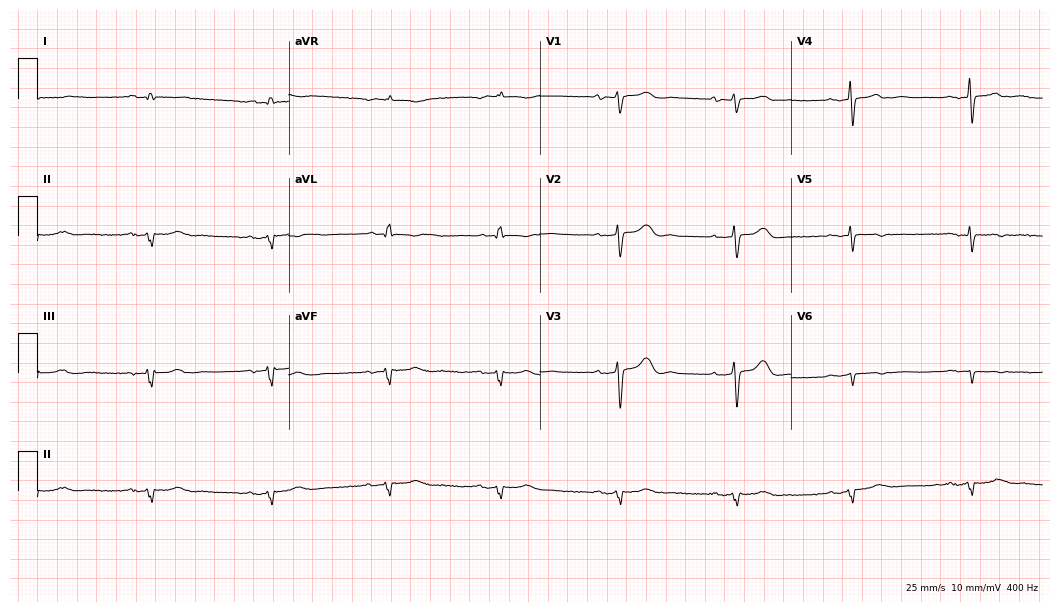
Electrocardiogram, a female, 74 years old. Of the six screened findings (first-degree AV block, right bundle branch block, left bundle branch block, sinus bradycardia, atrial fibrillation, sinus tachycardia), none is recorded. Findings outside these six are not listed.